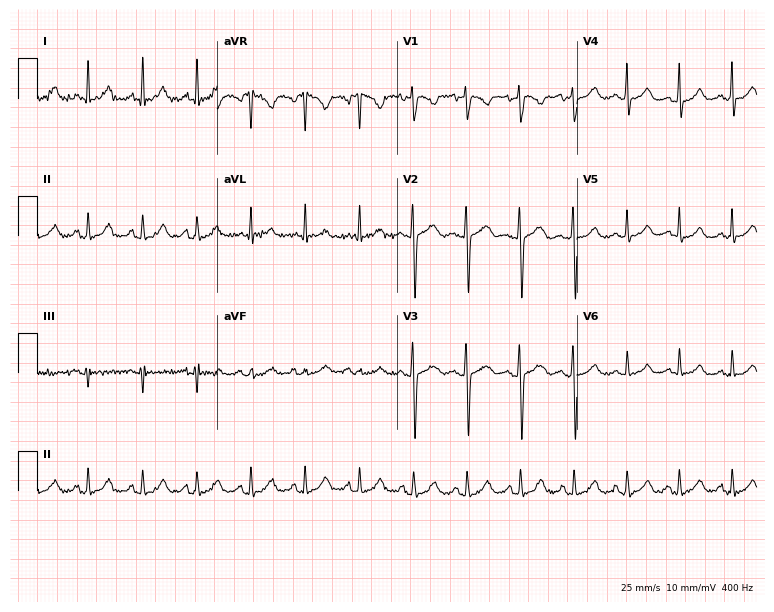
12-lead ECG from a female patient, 21 years old (7.3-second recording at 400 Hz). Shows sinus tachycardia (a sinus rate of 100 beats per minute or more).